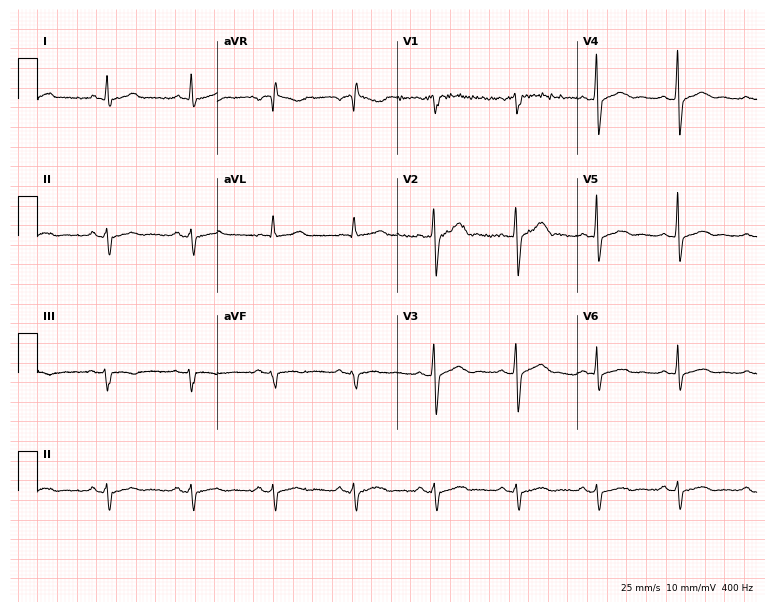
Standard 12-lead ECG recorded from a 46-year-old man (7.3-second recording at 400 Hz). None of these six findings is recorded: first-degree AV block, right bundle branch block (RBBB), left bundle branch block (LBBB), sinus bradycardia, atrial fibrillation (AF), sinus tachycardia. Findings outside these six are not listed.